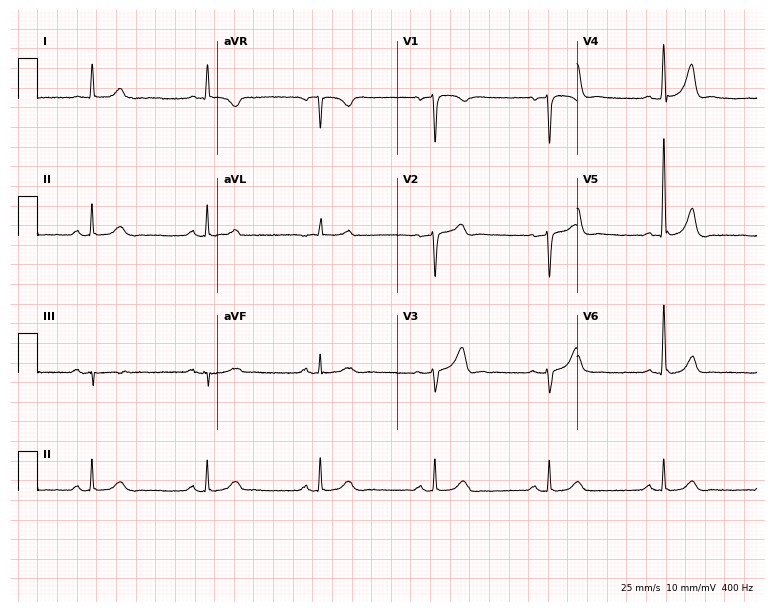
ECG (7.3-second recording at 400 Hz) — a 75-year-old male patient. Labelled as a normal ECG.